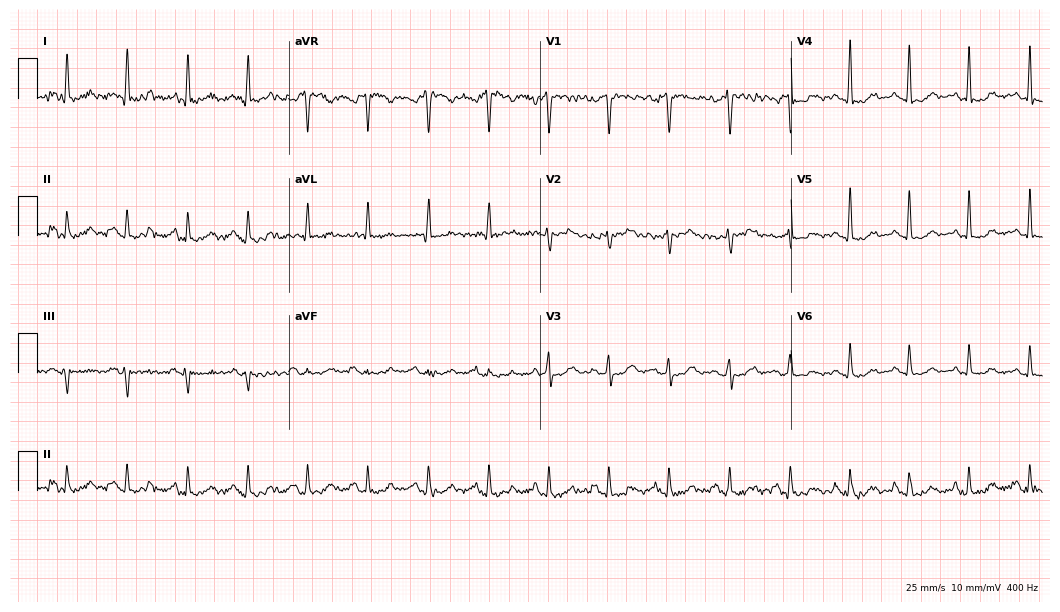
12-lead ECG from a male patient, 59 years old. Recorded interpretation: within normal limits.